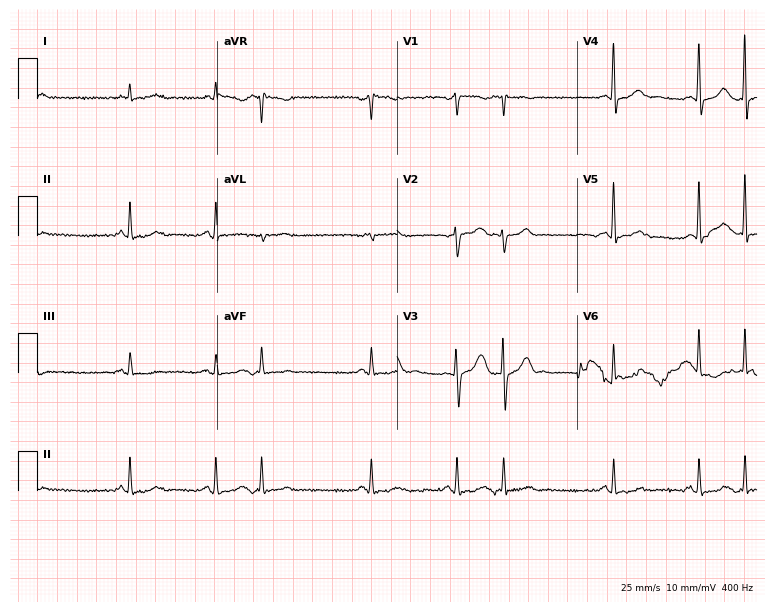
Standard 12-lead ECG recorded from a 79-year-old female patient (7.3-second recording at 400 Hz). None of these six findings is recorded: first-degree AV block, right bundle branch block, left bundle branch block, sinus bradycardia, atrial fibrillation, sinus tachycardia. Findings outside these six are not listed.